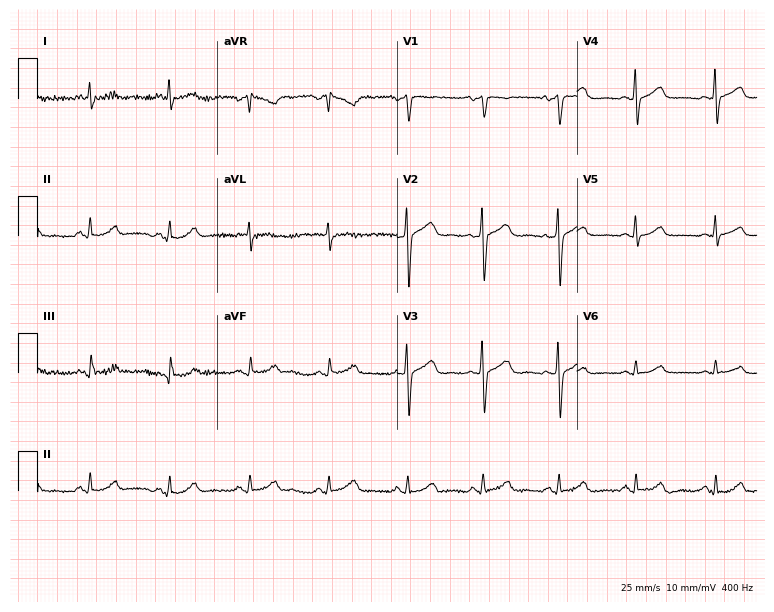
ECG — a female, 49 years old. Labelled as a normal ECG.